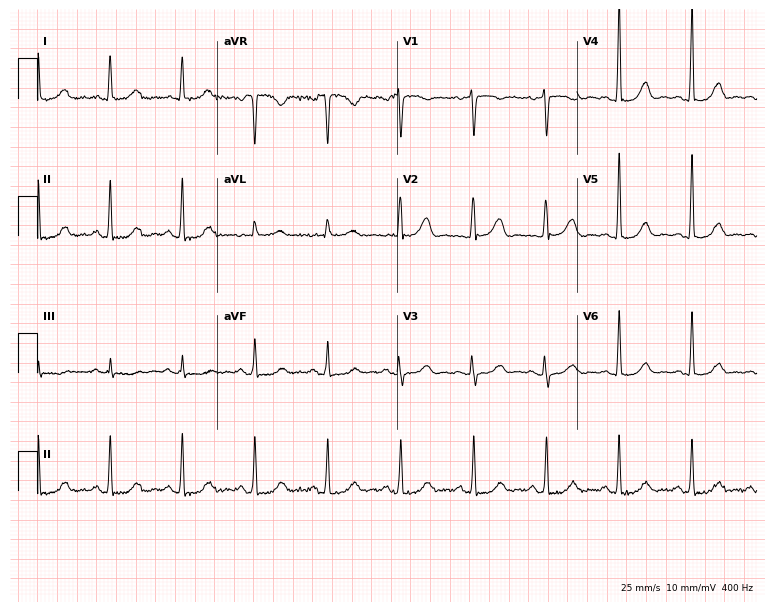
Resting 12-lead electrocardiogram (7.3-second recording at 400 Hz). Patient: a 72-year-old female. Read as a normal ECG.